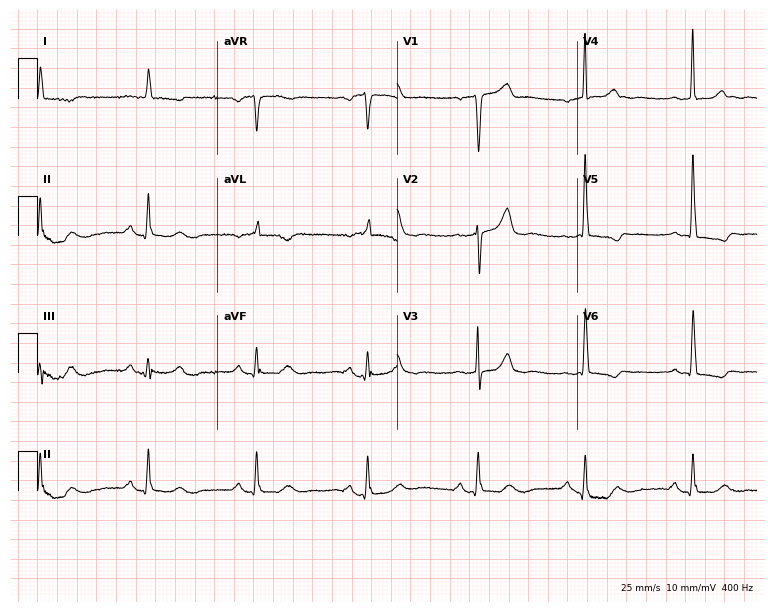
Resting 12-lead electrocardiogram (7.3-second recording at 400 Hz). Patient: a man, 70 years old. Read as a normal ECG.